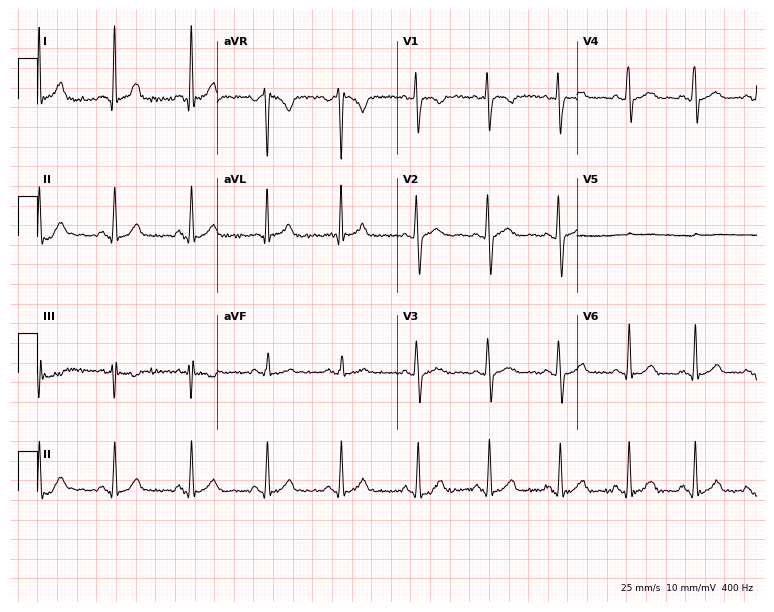
Resting 12-lead electrocardiogram. Patient: a male, 22 years old. None of these six findings is recorded: first-degree AV block, right bundle branch block, left bundle branch block, sinus bradycardia, atrial fibrillation, sinus tachycardia. Findings outside these six are not listed.